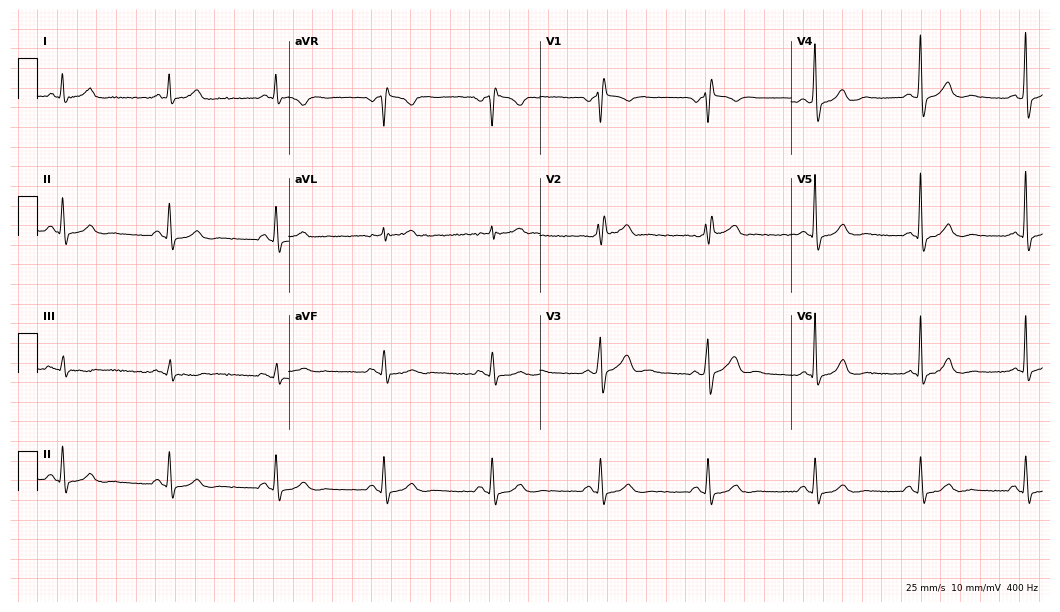
12-lead ECG from a male patient, 60 years old (10.2-second recording at 400 Hz). No first-degree AV block, right bundle branch block (RBBB), left bundle branch block (LBBB), sinus bradycardia, atrial fibrillation (AF) or sinus tachycardia recorded for this tracing.